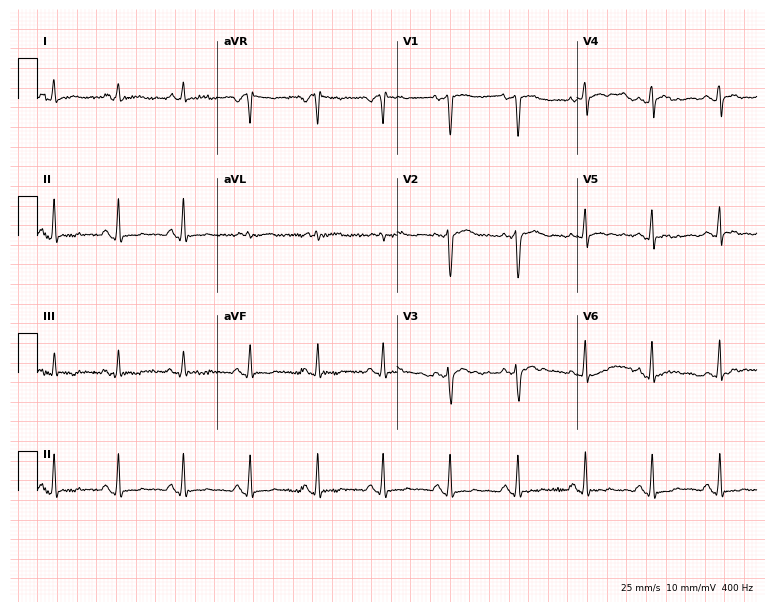
Resting 12-lead electrocardiogram. Patient: a woman, 44 years old. None of these six findings is recorded: first-degree AV block, right bundle branch block, left bundle branch block, sinus bradycardia, atrial fibrillation, sinus tachycardia. Only these six findings were labelled.